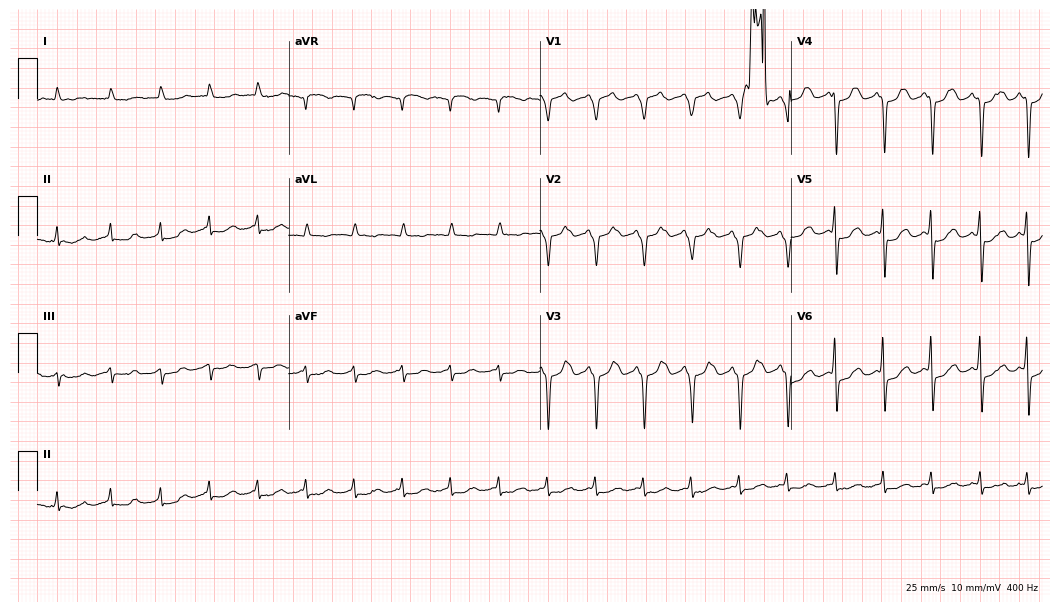
12-lead ECG from a female, 79 years old. Screened for six findings — first-degree AV block, right bundle branch block, left bundle branch block, sinus bradycardia, atrial fibrillation, sinus tachycardia — none is recorded. Findings outside these six are not listed.